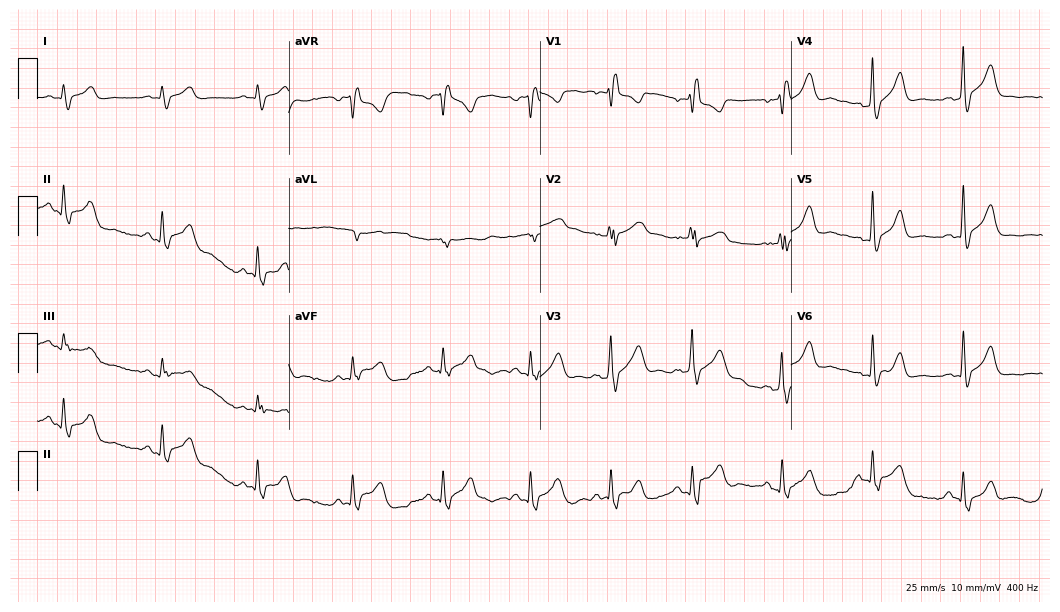
Standard 12-lead ECG recorded from a female, 59 years old. The tracing shows right bundle branch block.